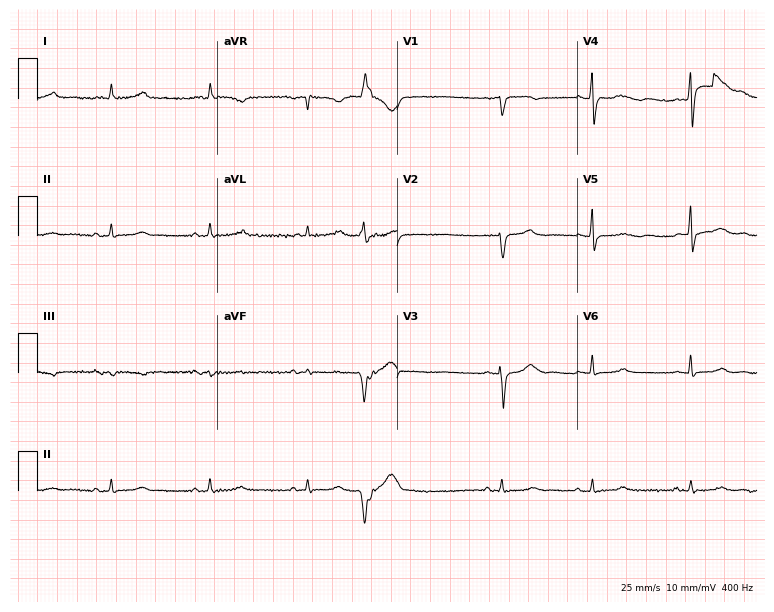
12-lead ECG from a 79-year-old female patient (7.3-second recording at 400 Hz). No first-degree AV block, right bundle branch block, left bundle branch block, sinus bradycardia, atrial fibrillation or sinus tachycardia recorded for this tracing. Findings outside these six are not listed.